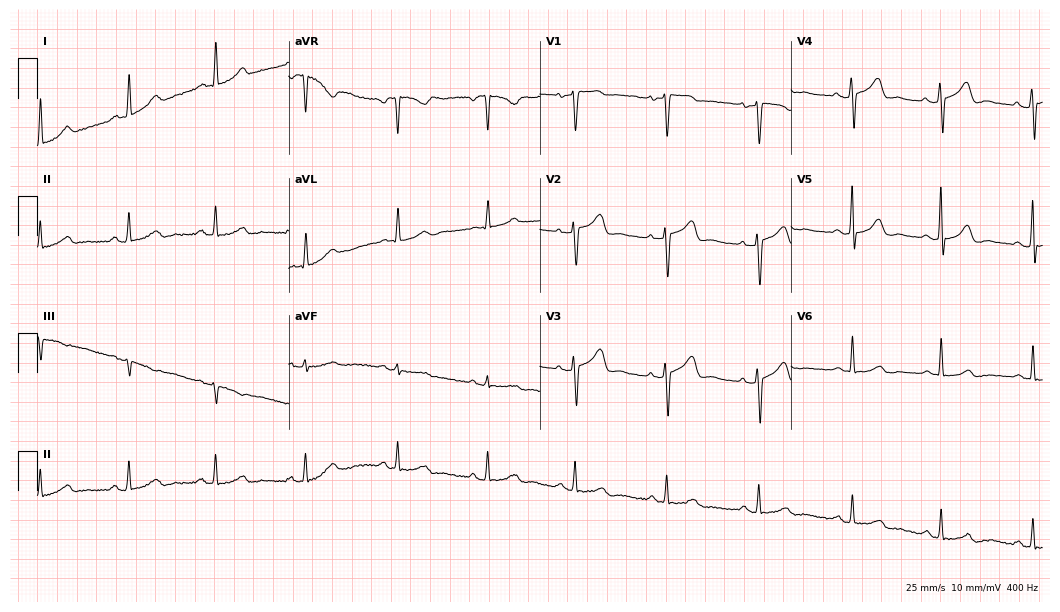
12-lead ECG from a 47-year-old woman. Recorded interpretation: within normal limits.